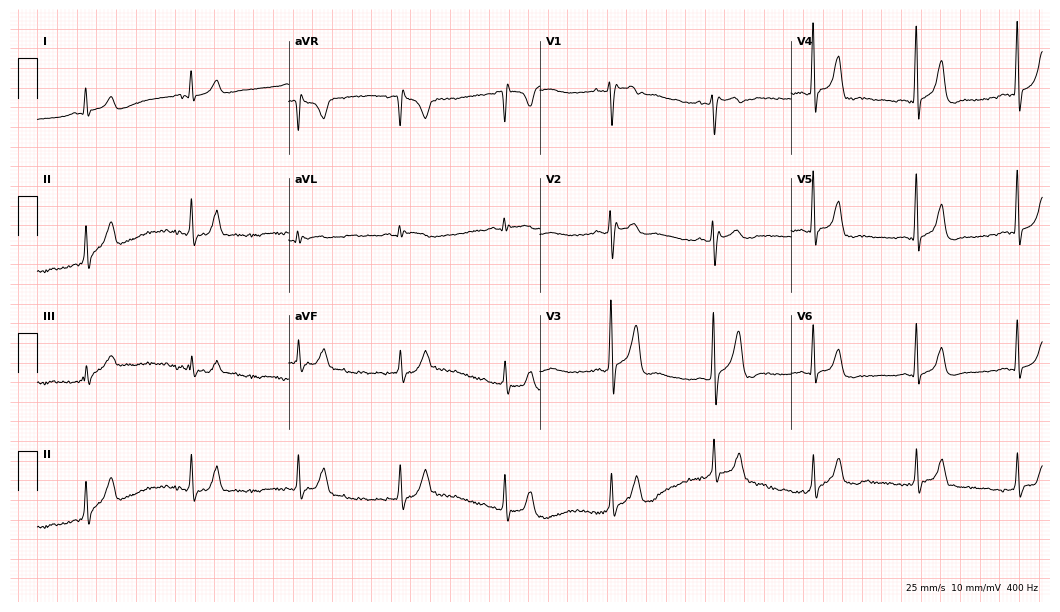
Standard 12-lead ECG recorded from a man, 25 years old. None of these six findings is recorded: first-degree AV block, right bundle branch block, left bundle branch block, sinus bradycardia, atrial fibrillation, sinus tachycardia. Other findings, if any, are not listed.